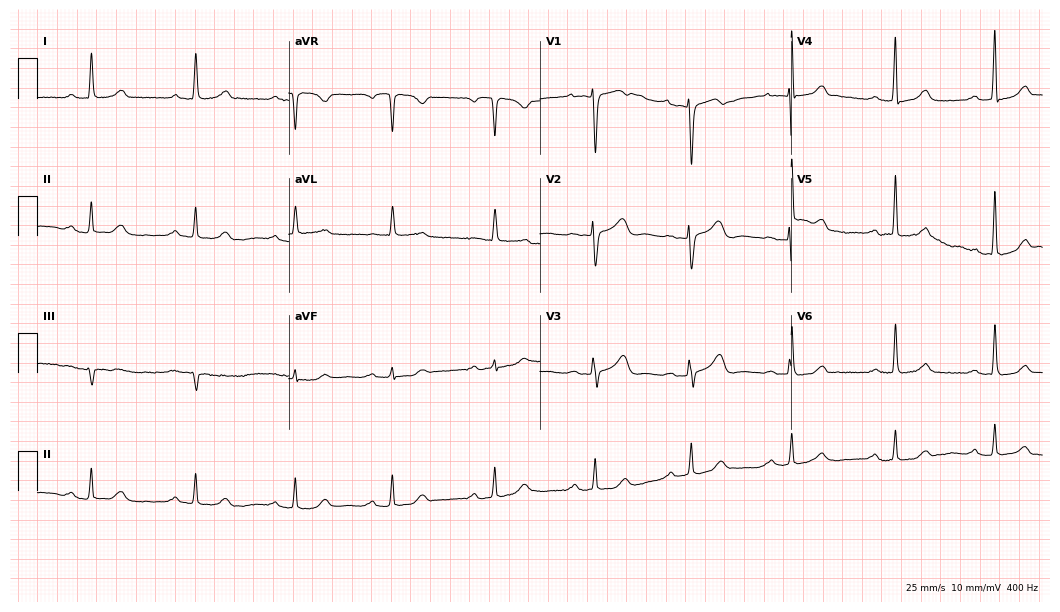
Resting 12-lead electrocardiogram. Patient: a female, 59 years old. Read as a normal ECG.